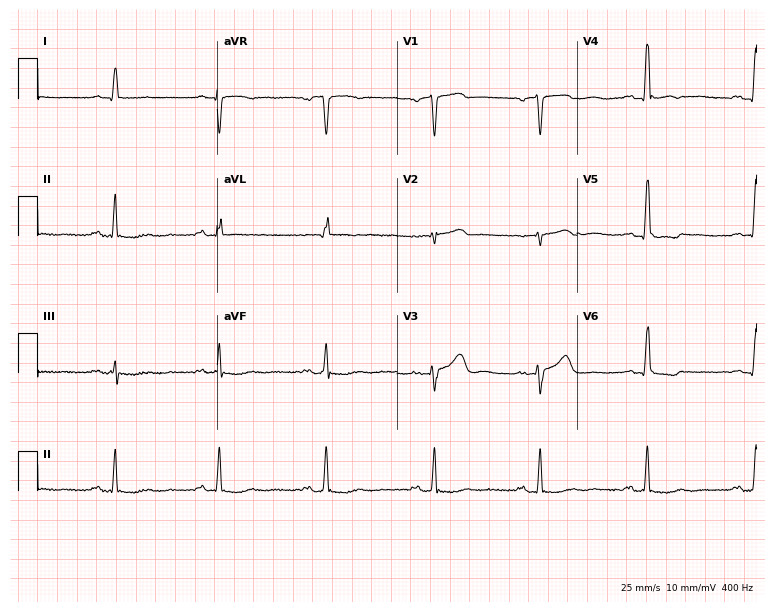
Resting 12-lead electrocardiogram (7.3-second recording at 400 Hz). Patient: a male, 69 years old. None of these six findings is recorded: first-degree AV block, right bundle branch block (RBBB), left bundle branch block (LBBB), sinus bradycardia, atrial fibrillation (AF), sinus tachycardia. Only these six findings were labelled.